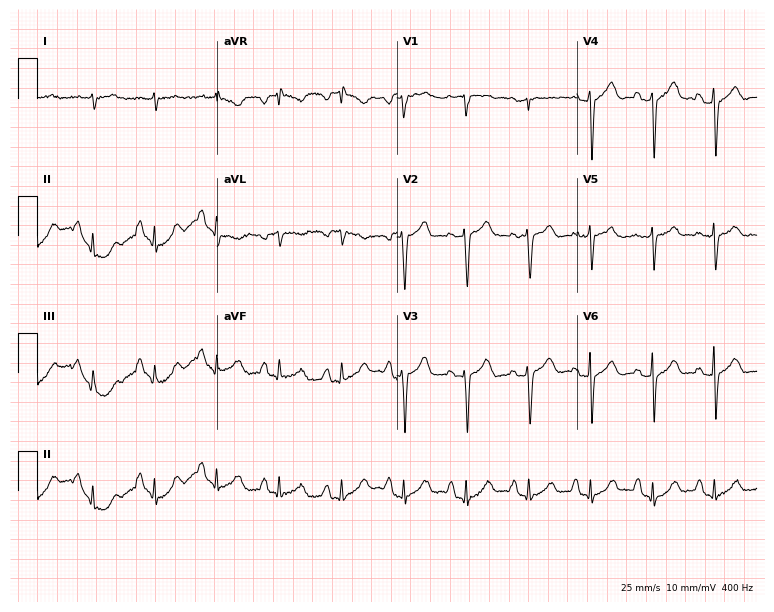
Resting 12-lead electrocardiogram (7.3-second recording at 400 Hz). Patient: a male, 71 years old. None of these six findings is recorded: first-degree AV block, right bundle branch block, left bundle branch block, sinus bradycardia, atrial fibrillation, sinus tachycardia. Other findings, if any, are not listed.